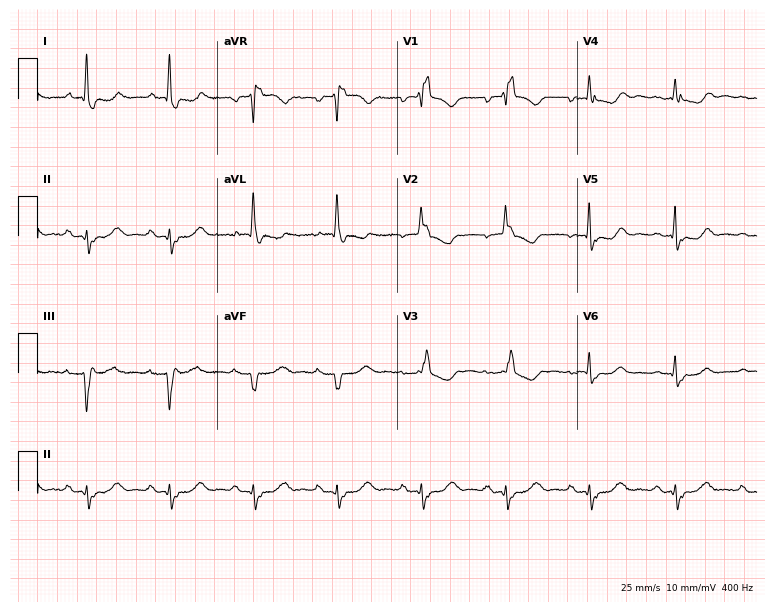
Electrocardiogram (7.3-second recording at 400 Hz), a female patient, 77 years old. Interpretation includes right bundle branch block.